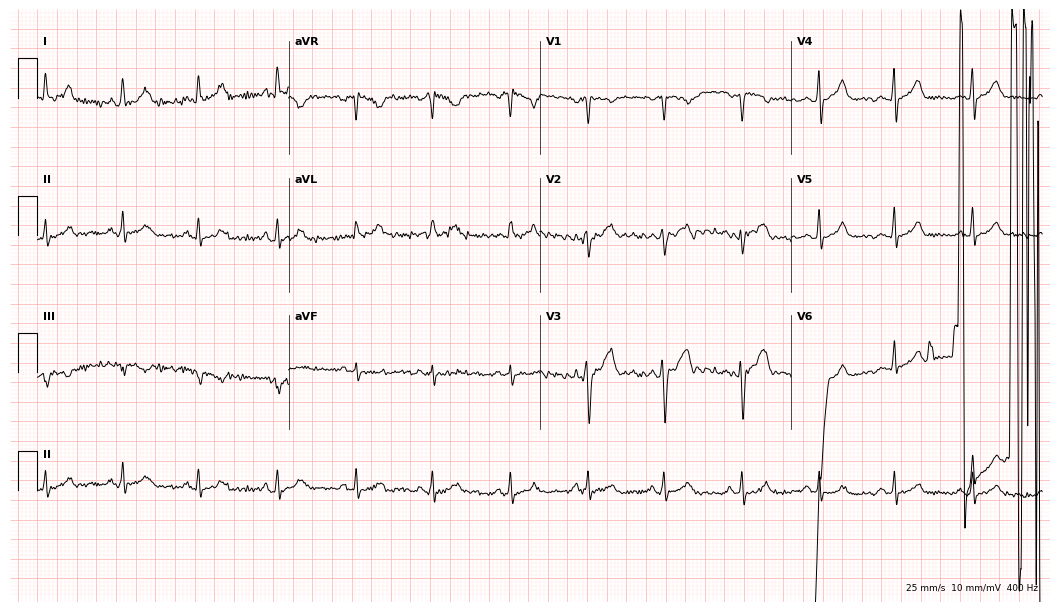
Standard 12-lead ECG recorded from a female patient, 36 years old. None of these six findings is recorded: first-degree AV block, right bundle branch block (RBBB), left bundle branch block (LBBB), sinus bradycardia, atrial fibrillation (AF), sinus tachycardia. Only these six findings were labelled.